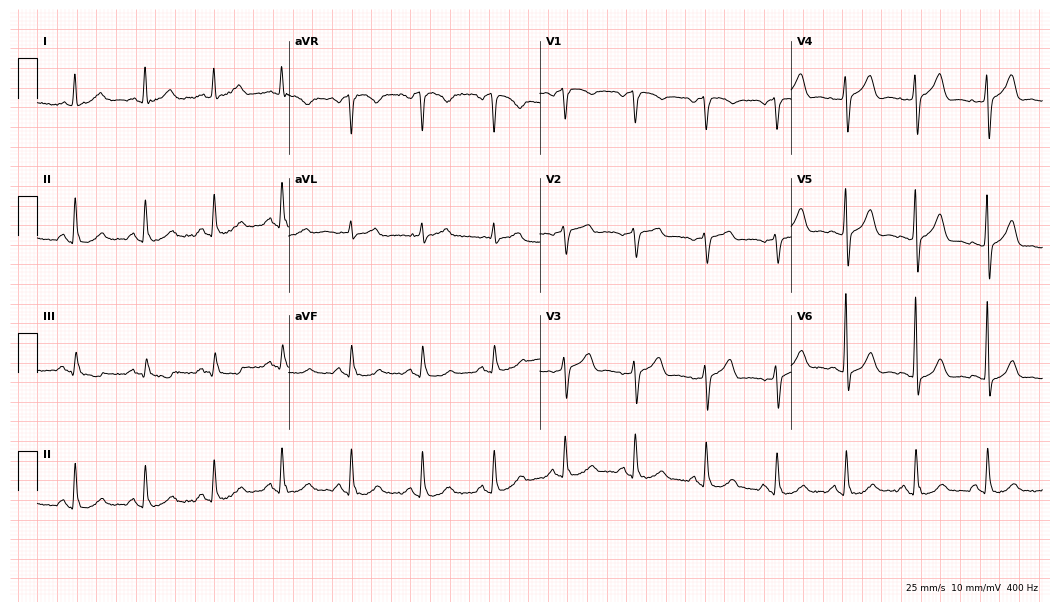
Electrocardiogram, a male, 63 years old. Overall reading on record: normal ECG.